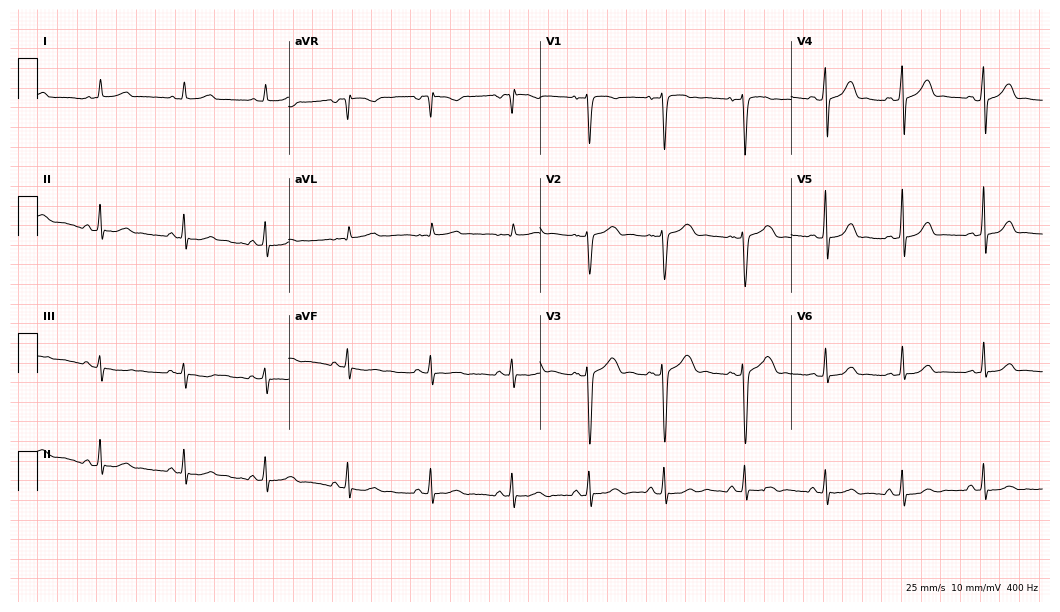
12-lead ECG from a woman, 21 years old. Labelled as a normal ECG.